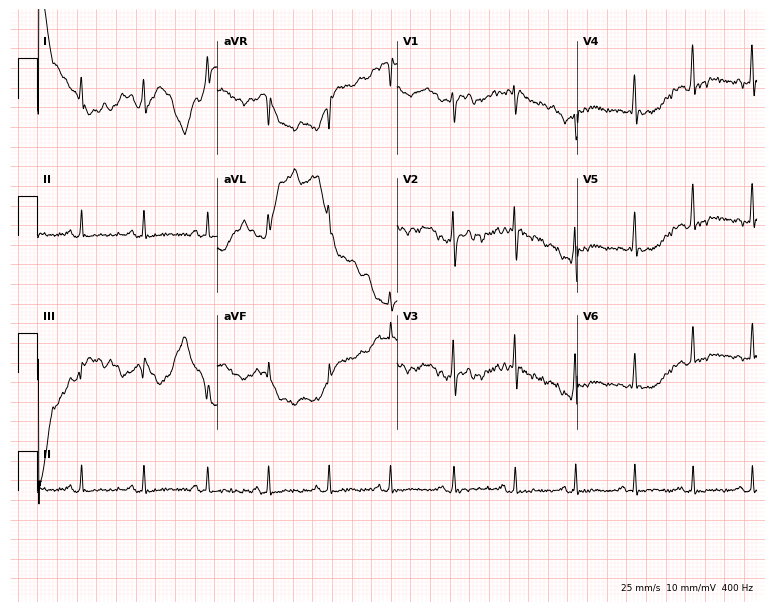
Resting 12-lead electrocardiogram (7.3-second recording at 400 Hz). Patient: a 37-year-old female. None of these six findings is recorded: first-degree AV block, right bundle branch block, left bundle branch block, sinus bradycardia, atrial fibrillation, sinus tachycardia.